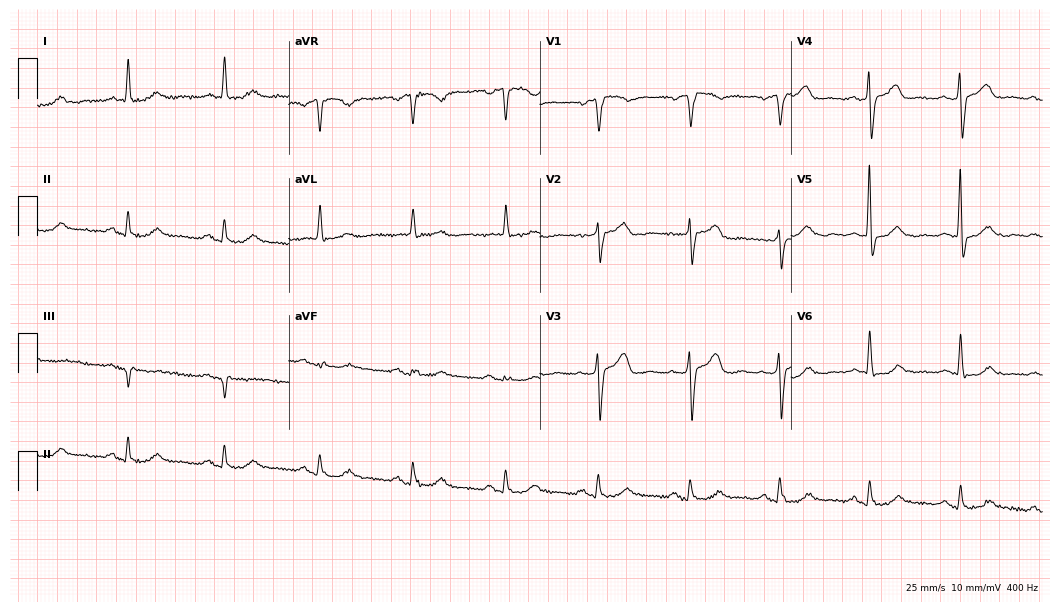
12-lead ECG (10.2-second recording at 400 Hz) from a 74-year-old male patient. Screened for six findings — first-degree AV block, right bundle branch block, left bundle branch block, sinus bradycardia, atrial fibrillation, sinus tachycardia — none is recorded.